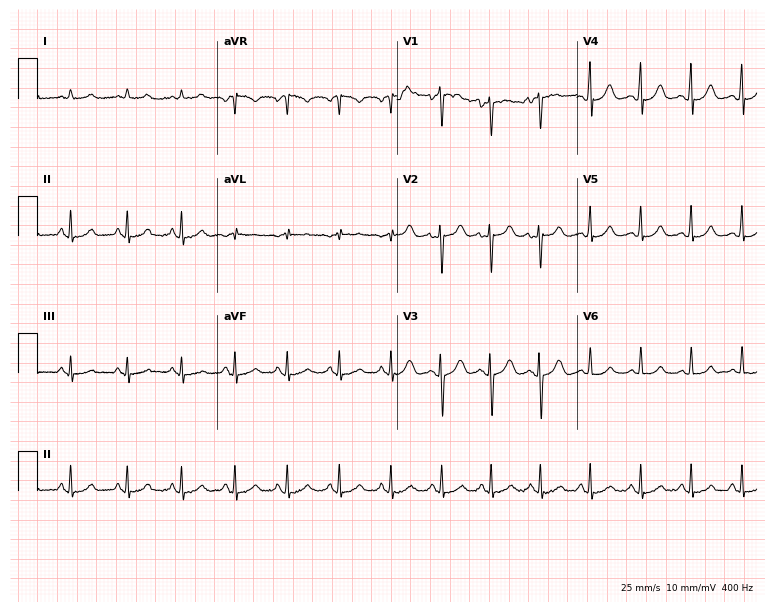
Electrocardiogram (7.3-second recording at 400 Hz), a female patient, 18 years old. Of the six screened findings (first-degree AV block, right bundle branch block (RBBB), left bundle branch block (LBBB), sinus bradycardia, atrial fibrillation (AF), sinus tachycardia), none is recorded. Only these six findings were labelled.